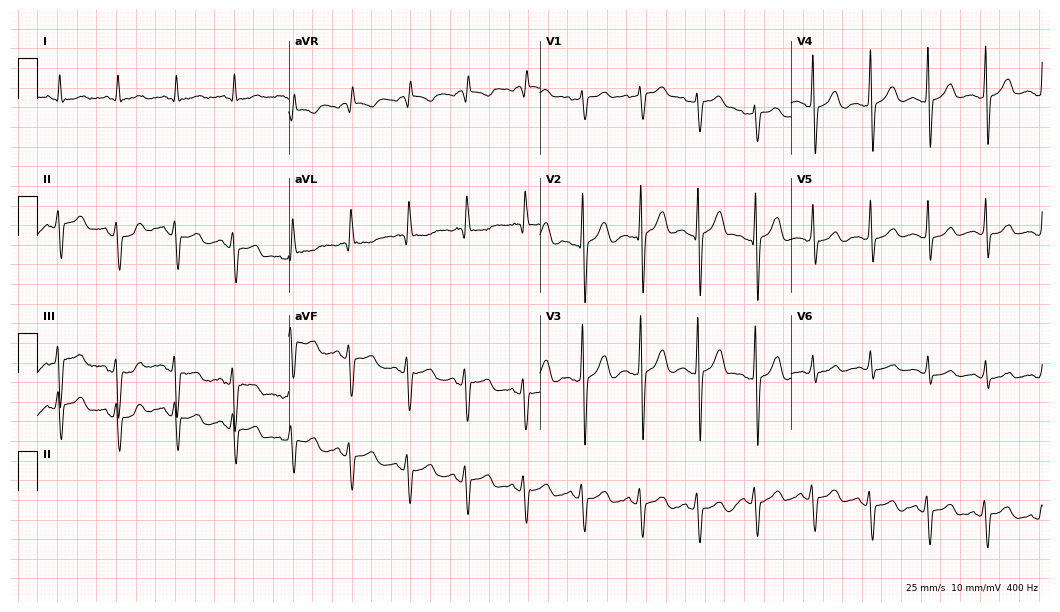
12-lead ECG from a 36-year-old man. Findings include sinus tachycardia (a sinus rate of 100 beats per minute or more).